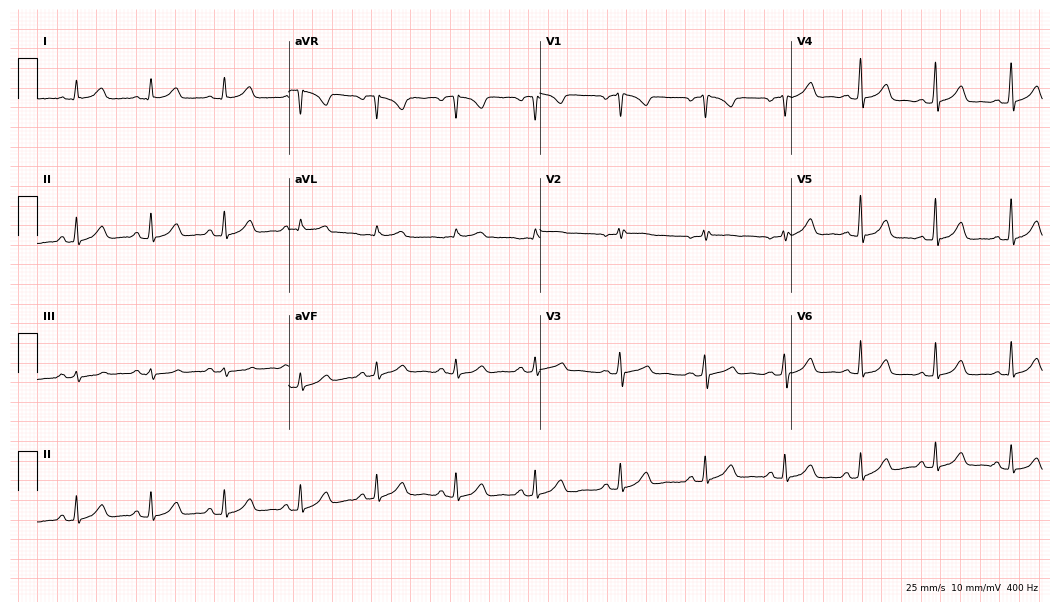
12-lead ECG (10.2-second recording at 400 Hz) from a female, 35 years old. Labelled as a normal ECG.